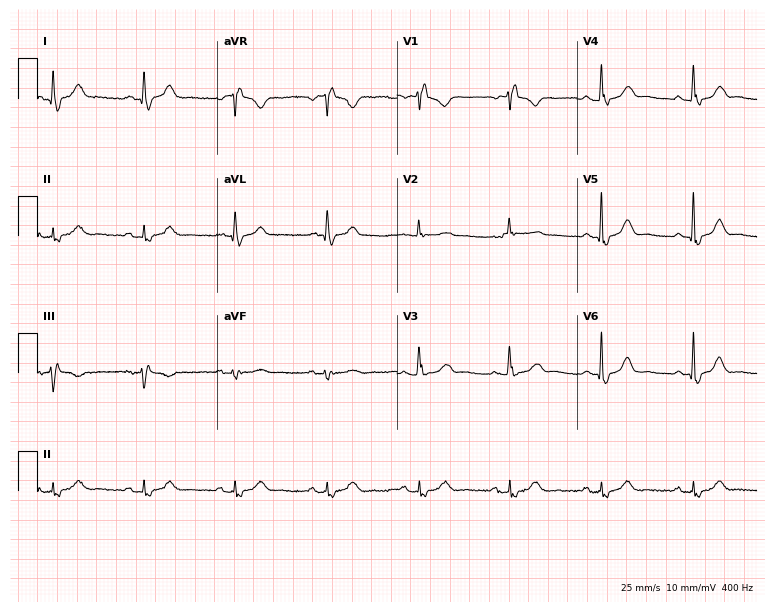
Electrocardiogram, a female patient, 69 years old. Interpretation includes right bundle branch block.